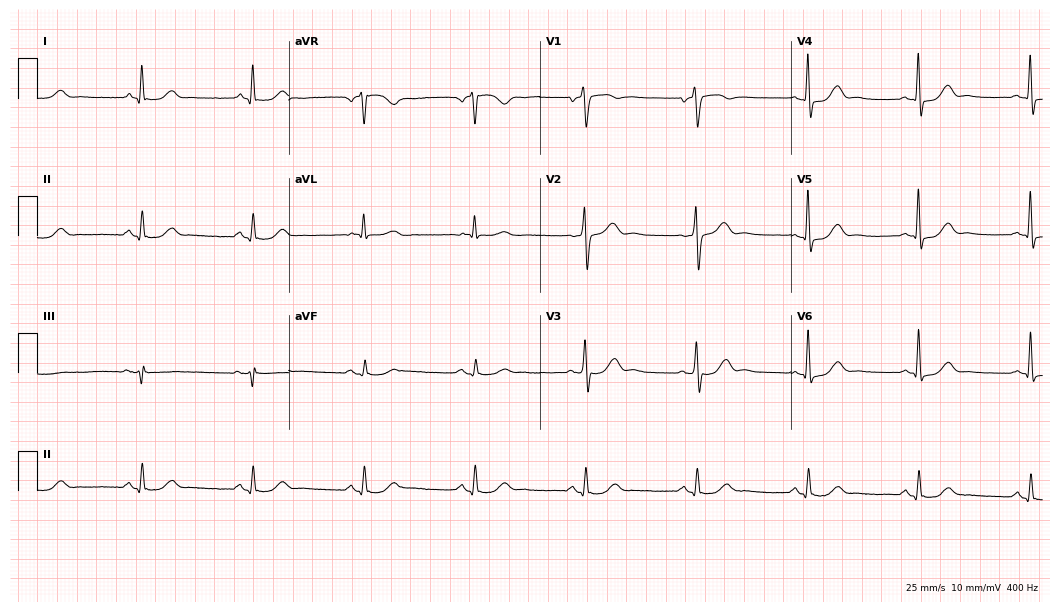
Standard 12-lead ECG recorded from a male patient, 71 years old. Read as a normal ECG.